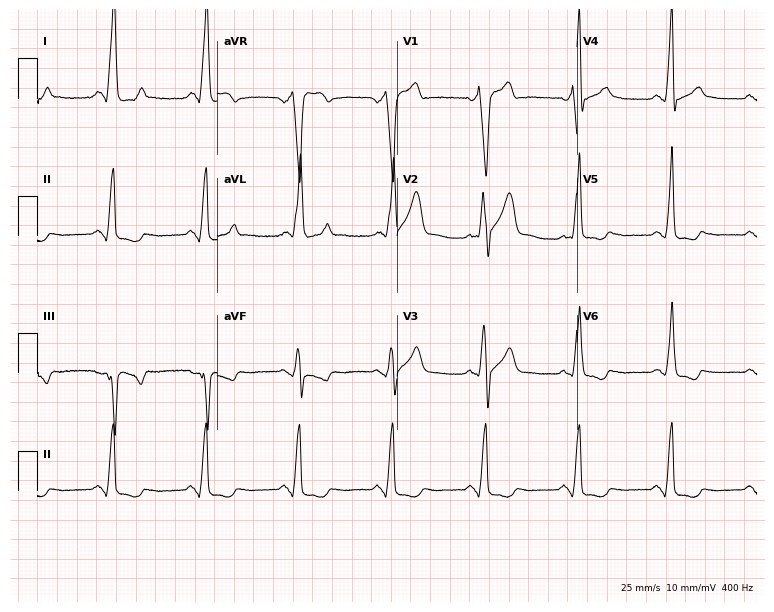
ECG — a man, 41 years old. Screened for six findings — first-degree AV block, right bundle branch block (RBBB), left bundle branch block (LBBB), sinus bradycardia, atrial fibrillation (AF), sinus tachycardia — none is recorded.